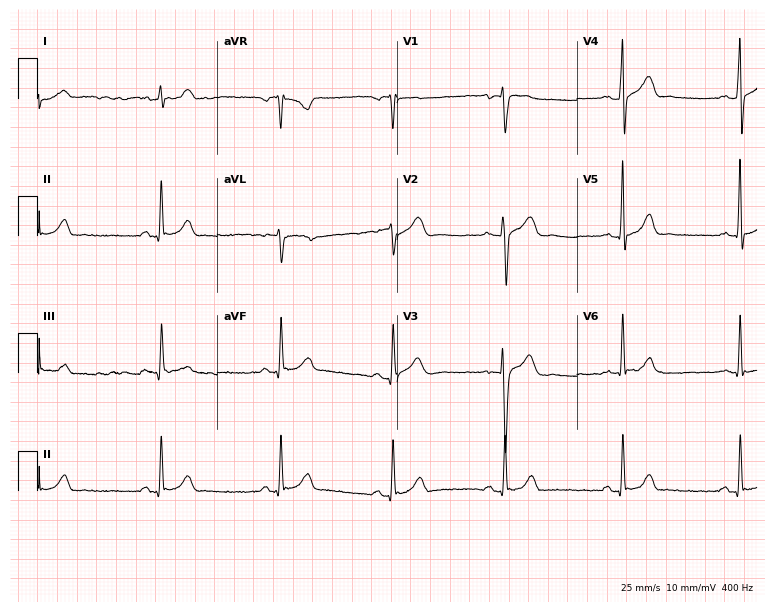
12-lead ECG (7.3-second recording at 400 Hz) from a 34-year-old male. Findings include sinus bradycardia (a sinus rate of 50 beats per minute or less).